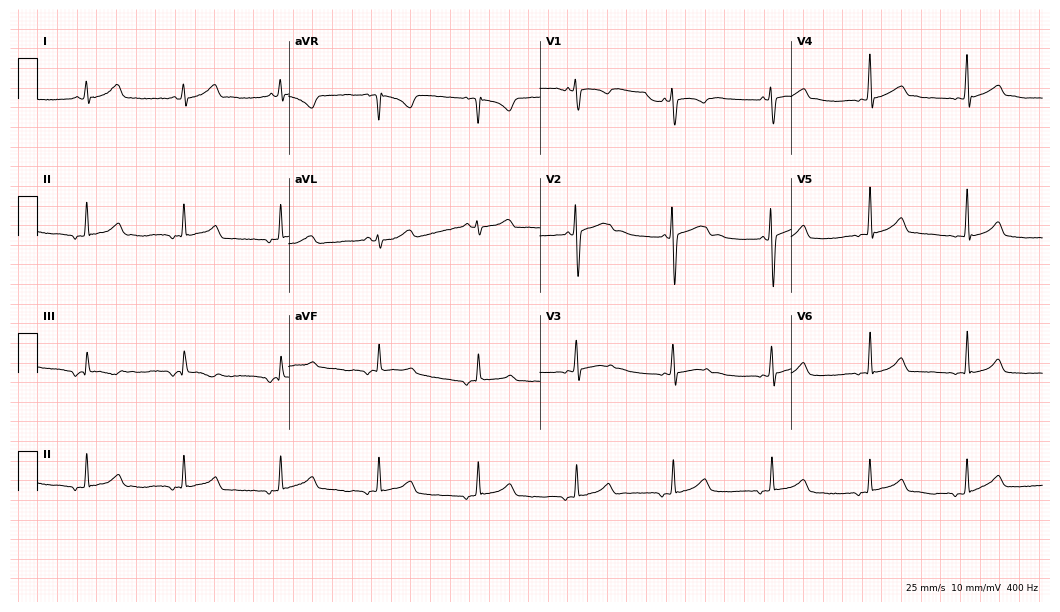
Resting 12-lead electrocardiogram (10.2-second recording at 400 Hz). Patient: a 19-year-old woman. None of these six findings is recorded: first-degree AV block, right bundle branch block, left bundle branch block, sinus bradycardia, atrial fibrillation, sinus tachycardia.